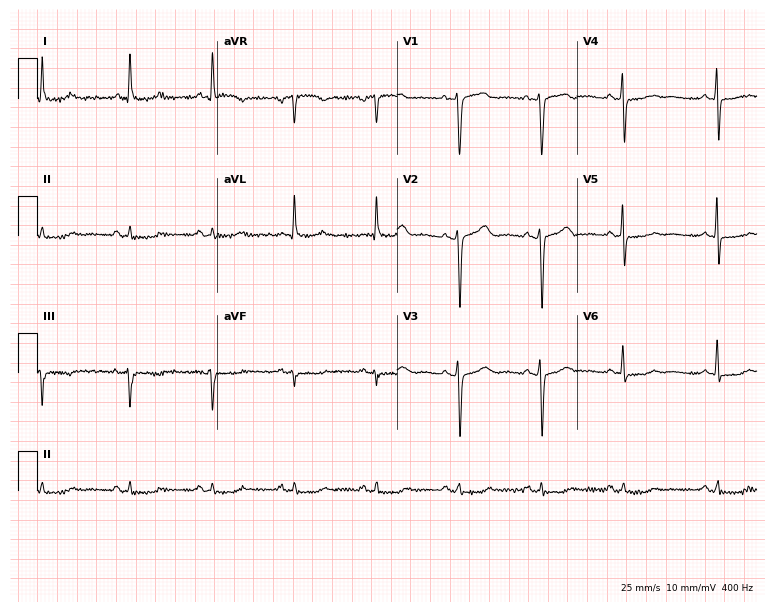
12-lead ECG (7.3-second recording at 400 Hz) from a woman, 68 years old. Screened for six findings — first-degree AV block, right bundle branch block, left bundle branch block, sinus bradycardia, atrial fibrillation, sinus tachycardia — none is recorded.